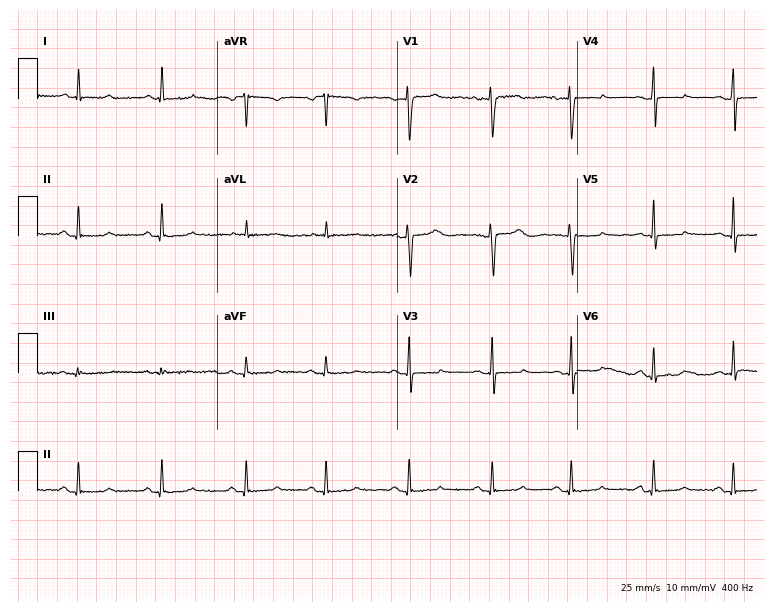
12-lead ECG from a 36-year-old female patient. Screened for six findings — first-degree AV block, right bundle branch block, left bundle branch block, sinus bradycardia, atrial fibrillation, sinus tachycardia — none is recorded. Findings outside these six are not listed.